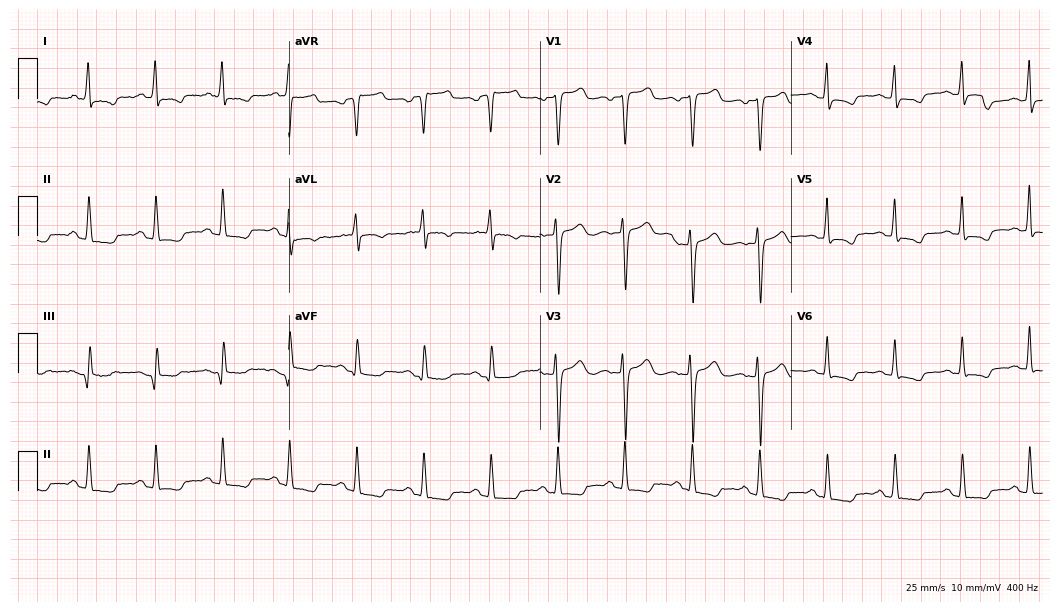
Electrocardiogram, a female, 66 years old. Of the six screened findings (first-degree AV block, right bundle branch block, left bundle branch block, sinus bradycardia, atrial fibrillation, sinus tachycardia), none is recorded.